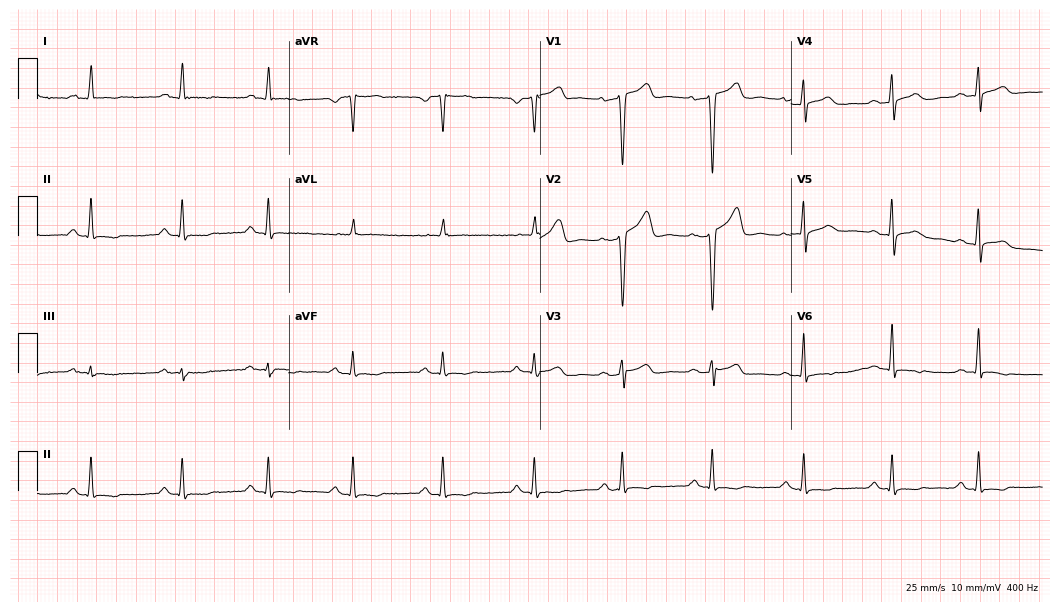
Standard 12-lead ECG recorded from a man, 58 years old. None of these six findings is recorded: first-degree AV block, right bundle branch block (RBBB), left bundle branch block (LBBB), sinus bradycardia, atrial fibrillation (AF), sinus tachycardia.